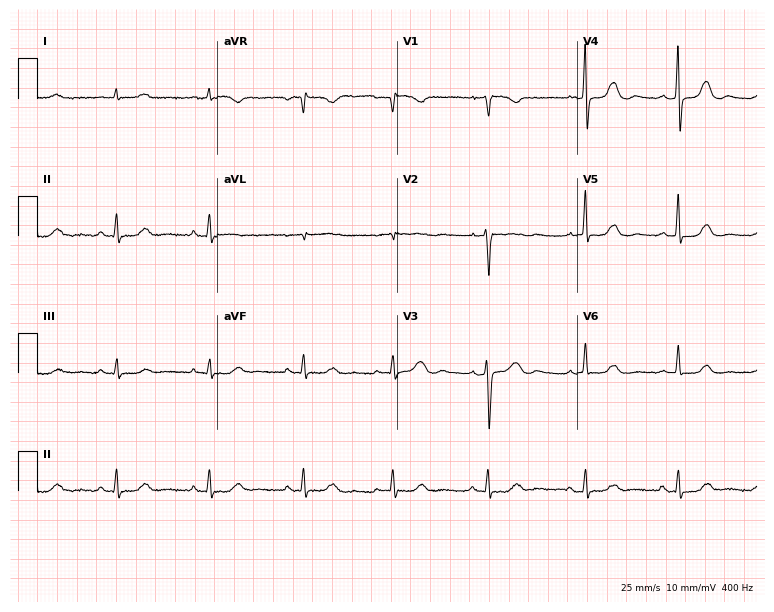
Electrocardiogram (7.3-second recording at 400 Hz), a woman, 71 years old. Overall reading on record: normal ECG.